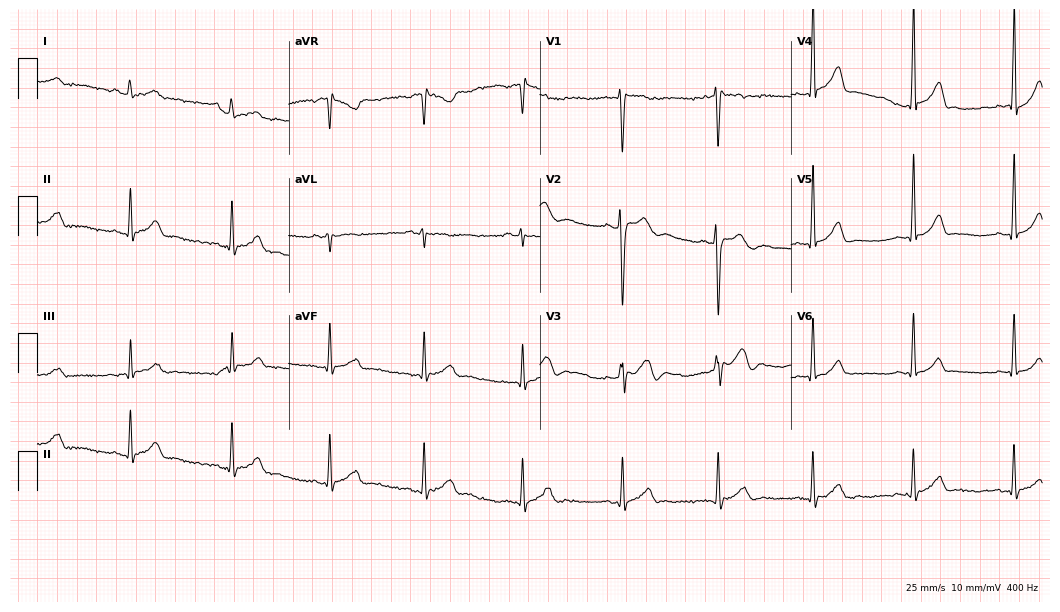
12-lead ECG from an 18-year-old male patient. Screened for six findings — first-degree AV block, right bundle branch block (RBBB), left bundle branch block (LBBB), sinus bradycardia, atrial fibrillation (AF), sinus tachycardia — none is recorded. Other findings, if any, are not listed.